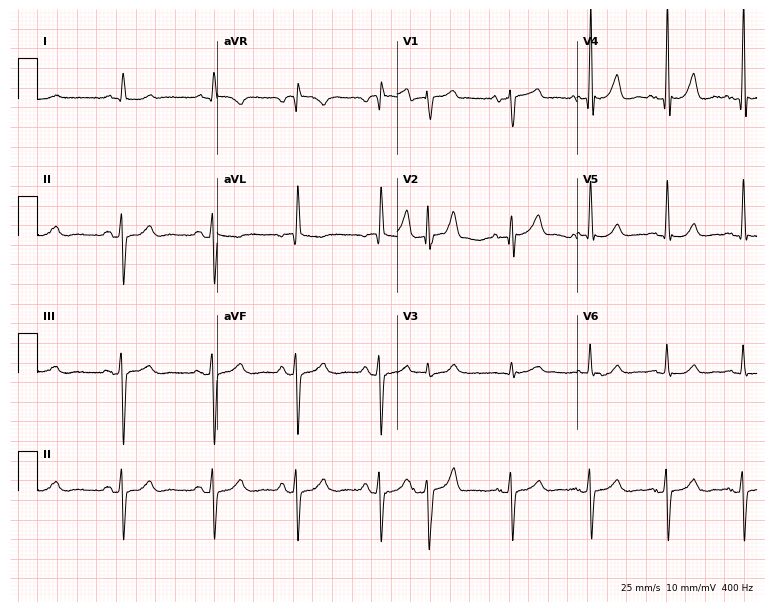
Resting 12-lead electrocardiogram. Patient: a man, 83 years old. None of these six findings is recorded: first-degree AV block, right bundle branch block, left bundle branch block, sinus bradycardia, atrial fibrillation, sinus tachycardia.